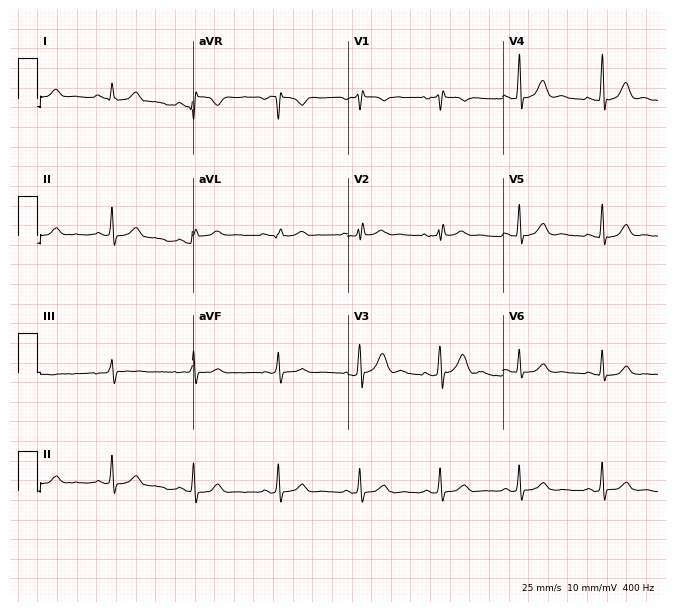
12-lead ECG from a man, 33 years old. Labelled as a normal ECG.